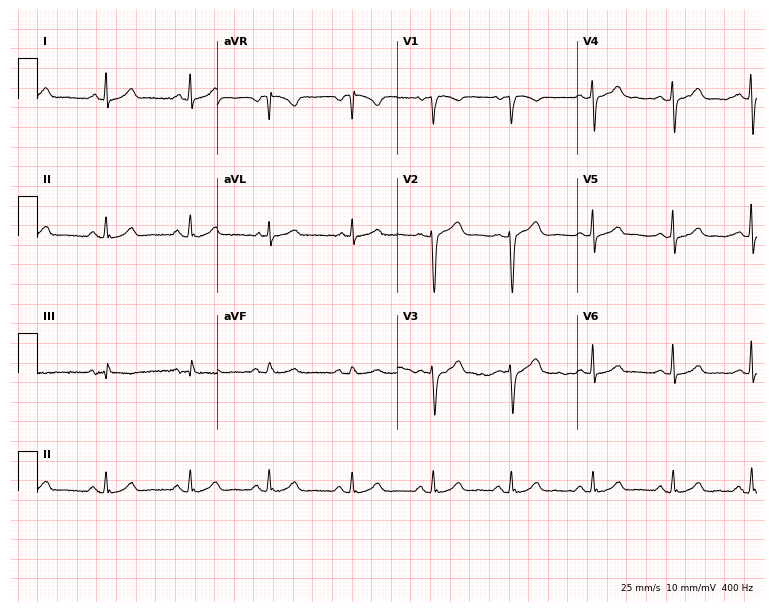
12-lead ECG (7.3-second recording at 400 Hz) from a woman, 35 years old. Labelled as a normal ECG.